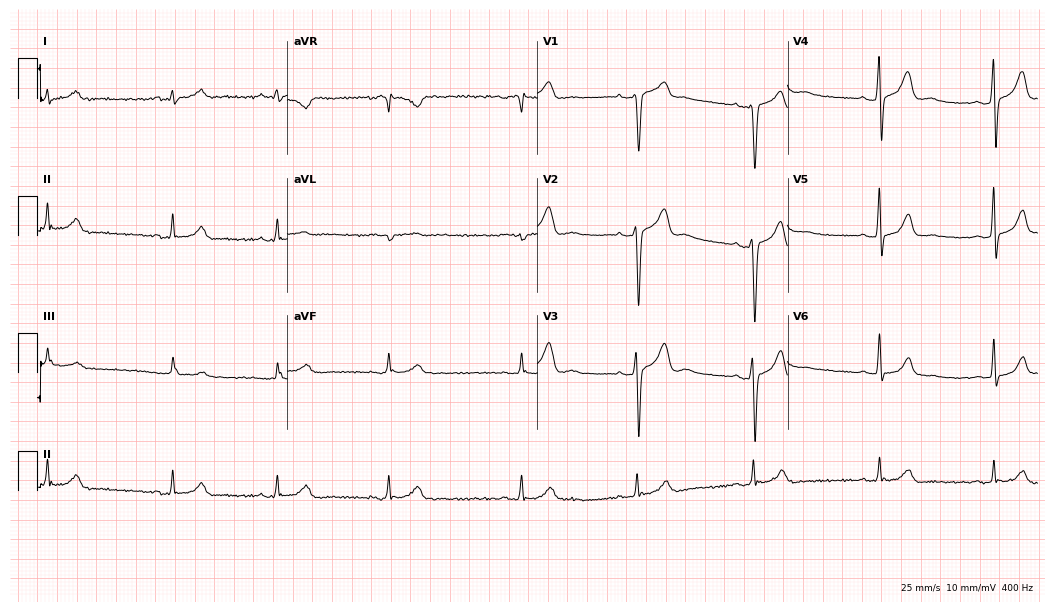
Standard 12-lead ECG recorded from a 24-year-old male patient (10.2-second recording at 400 Hz). Read as a normal ECG.